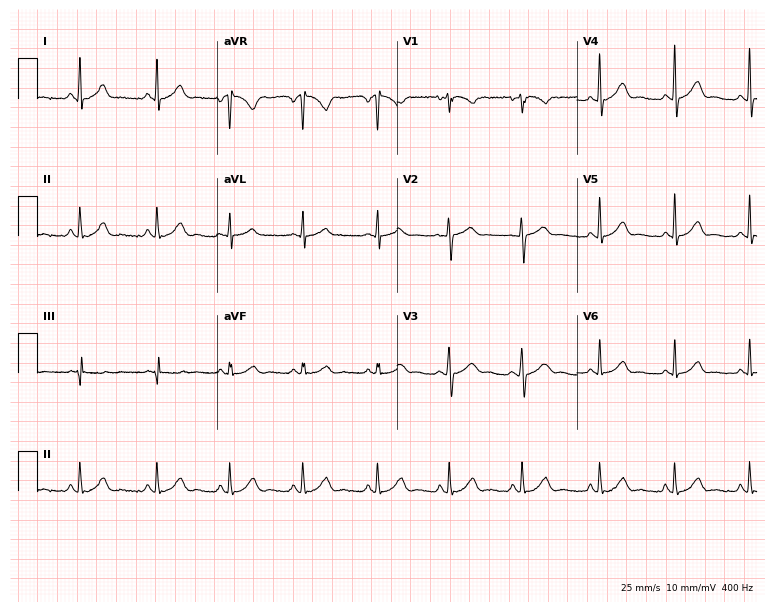
Electrocardiogram (7.3-second recording at 400 Hz), a woman, 25 years old. Overall reading on record: normal ECG.